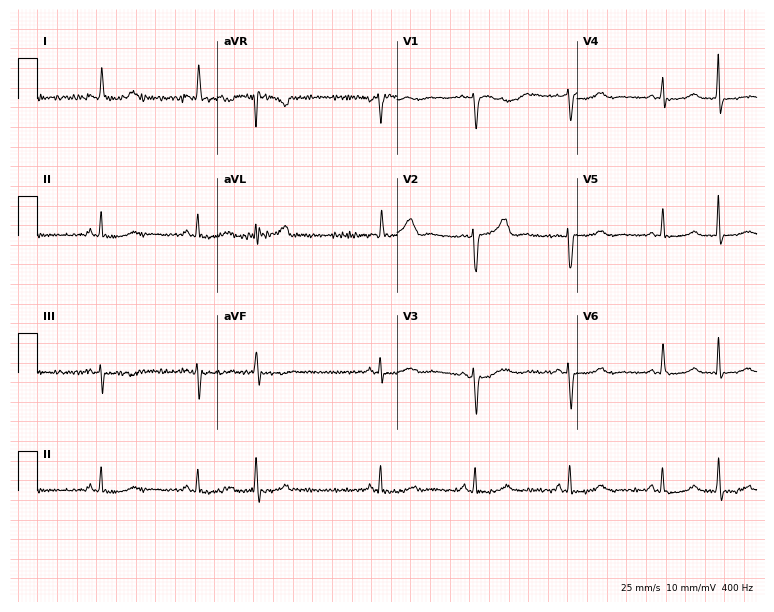
Standard 12-lead ECG recorded from a 60-year-old woman (7.3-second recording at 400 Hz). None of these six findings is recorded: first-degree AV block, right bundle branch block (RBBB), left bundle branch block (LBBB), sinus bradycardia, atrial fibrillation (AF), sinus tachycardia.